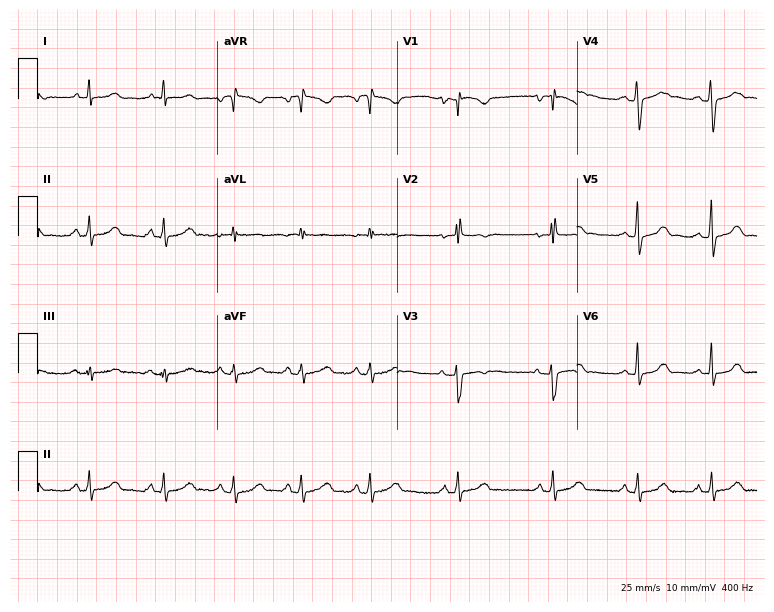
Standard 12-lead ECG recorded from a 24-year-old woman. Read as a normal ECG.